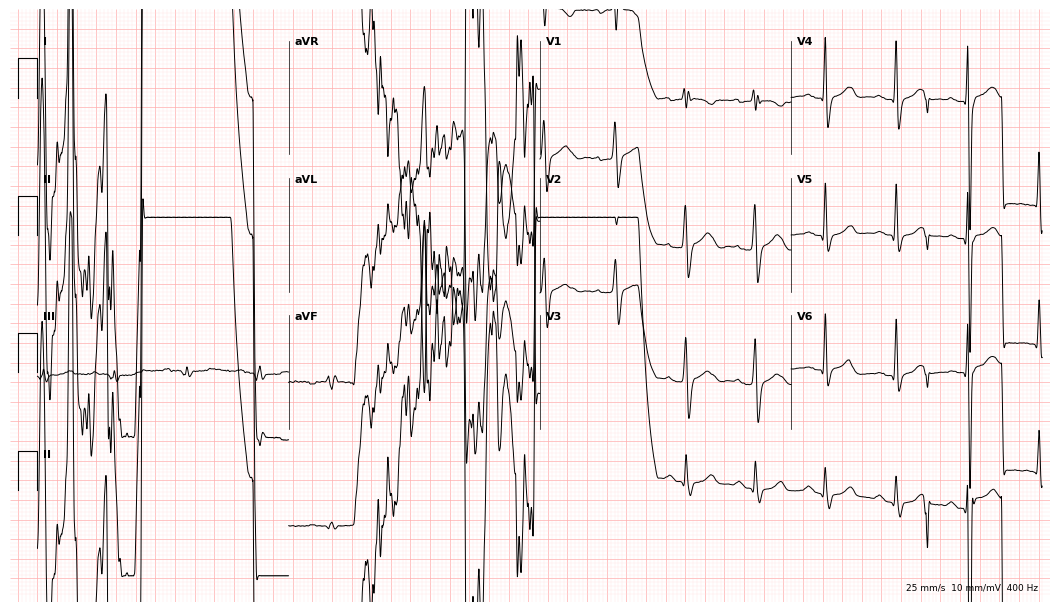
Electrocardiogram (10.2-second recording at 400 Hz), a 46-year-old woman. Of the six screened findings (first-degree AV block, right bundle branch block (RBBB), left bundle branch block (LBBB), sinus bradycardia, atrial fibrillation (AF), sinus tachycardia), none is recorded.